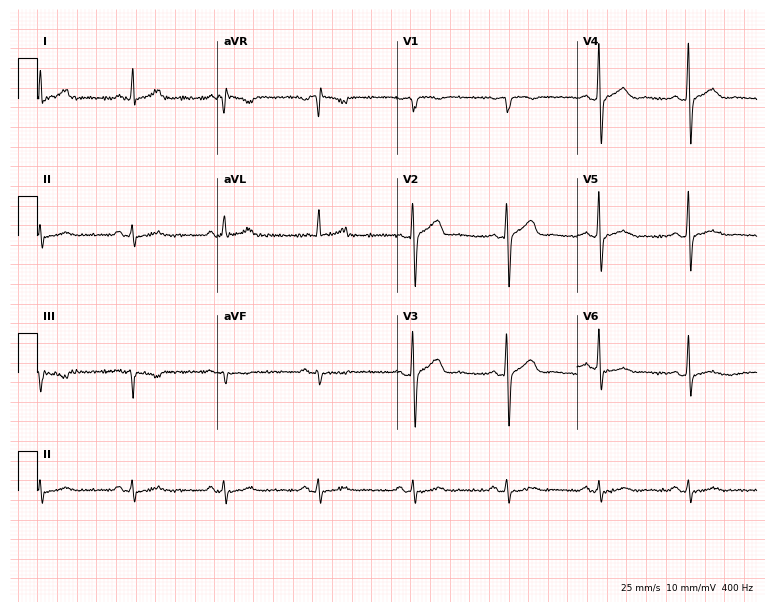
ECG — a man, 51 years old. Screened for six findings — first-degree AV block, right bundle branch block (RBBB), left bundle branch block (LBBB), sinus bradycardia, atrial fibrillation (AF), sinus tachycardia — none is recorded. Other findings, if any, are not listed.